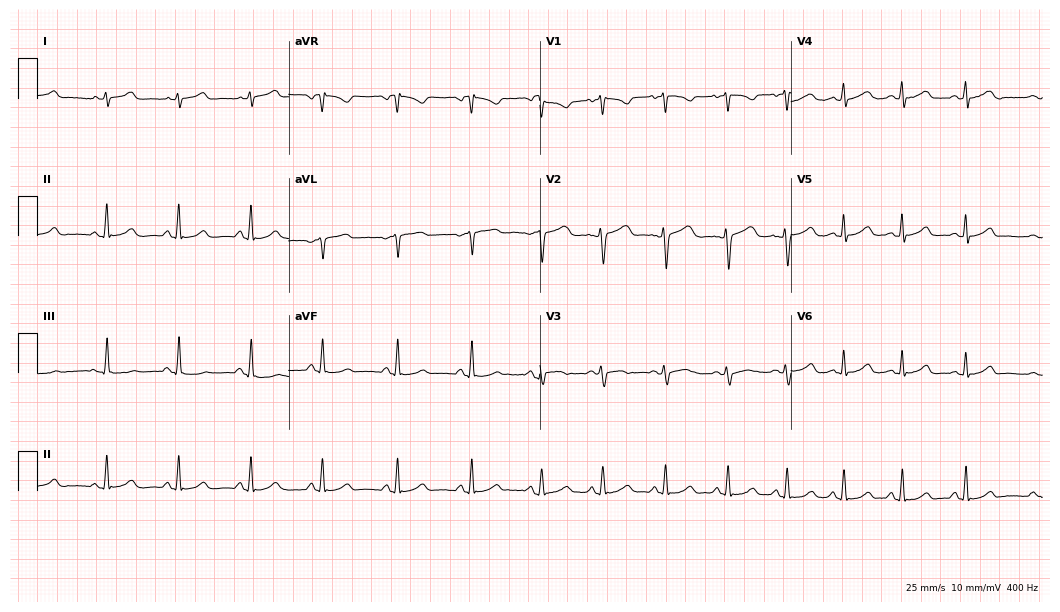
Electrocardiogram (10.2-second recording at 400 Hz), a 17-year-old female patient. Of the six screened findings (first-degree AV block, right bundle branch block (RBBB), left bundle branch block (LBBB), sinus bradycardia, atrial fibrillation (AF), sinus tachycardia), none is recorded. Only these six findings were labelled.